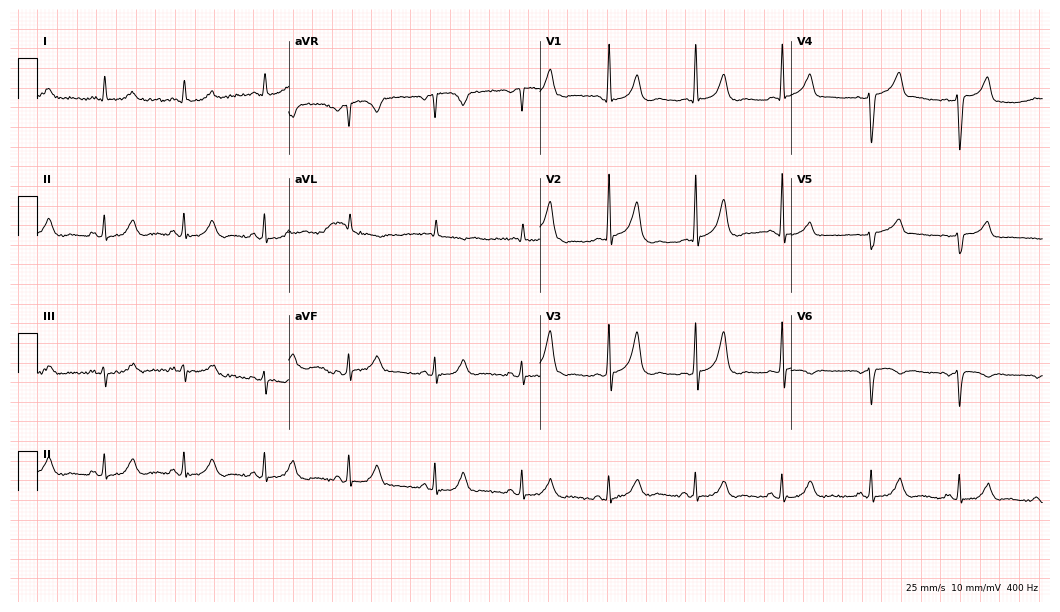
12-lead ECG from a woman, 78 years old. No first-degree AV block, right bundle branch block (RBBB), left bundle branch block (LBBB), sinus bradycardia, atrial fibrillation (AF) or sinus tachycardia recorded for this tracing. Only these six findings were labelled.